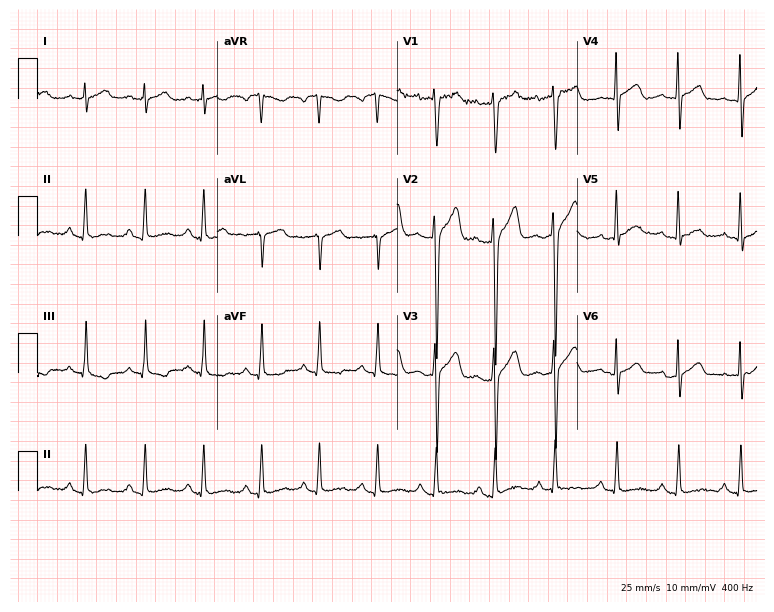
Standard 12-lead ECG recorded from a man, 41 years old. None of these six findings is recorded: first-degree AV block, right bundle branch block (RBBB), left bundle branch block (LBBB), sinus bradycardia, atrial fibrillation (AF), sinus tachycardia. Findings outside these six are not listed.